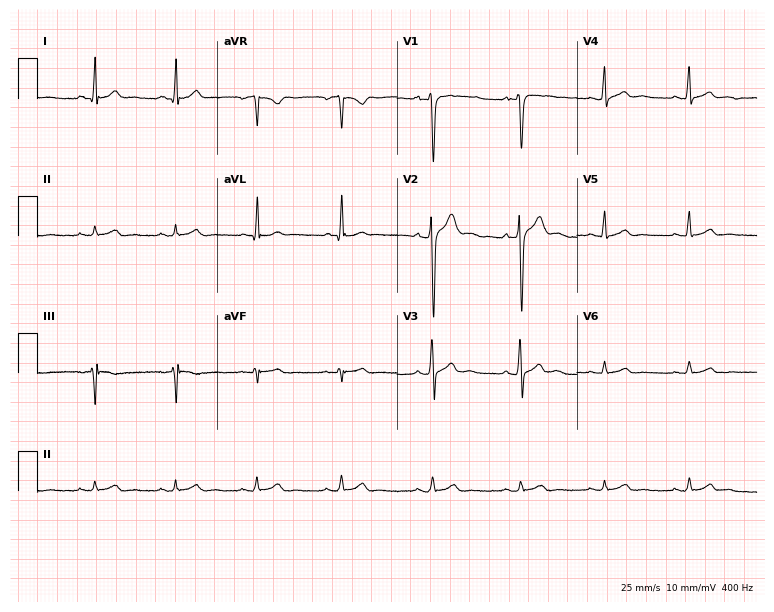
Resting 12-lead electrocardiogram (7.3-second recording at 400 Hz). Patient: a 23-year-old man. None of these six findings is recorded: first-degree AV block, right bundle branch block, left bundle branch block, sinus bradycardia, atrial fibrillation, sinus tachycardia. Other findings, if any, are not listed.